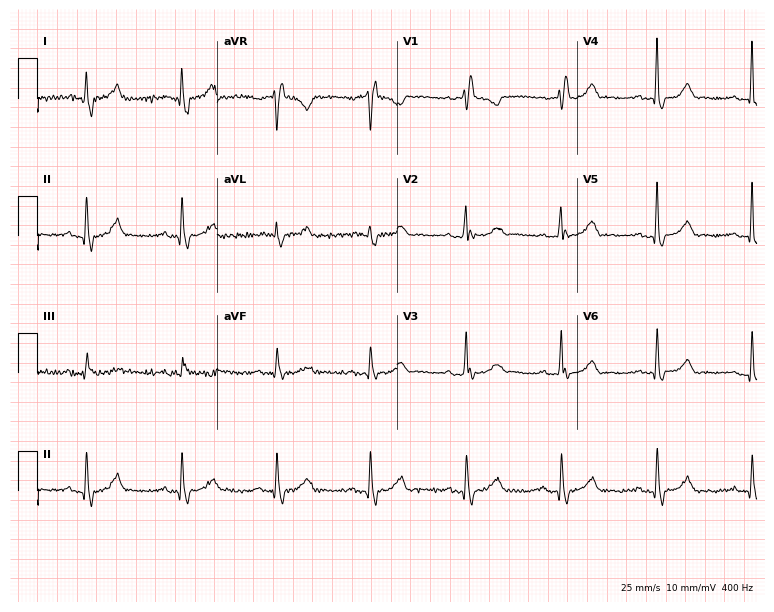
ECG — a woman, 65 years old. Findings include right bundle branch block.